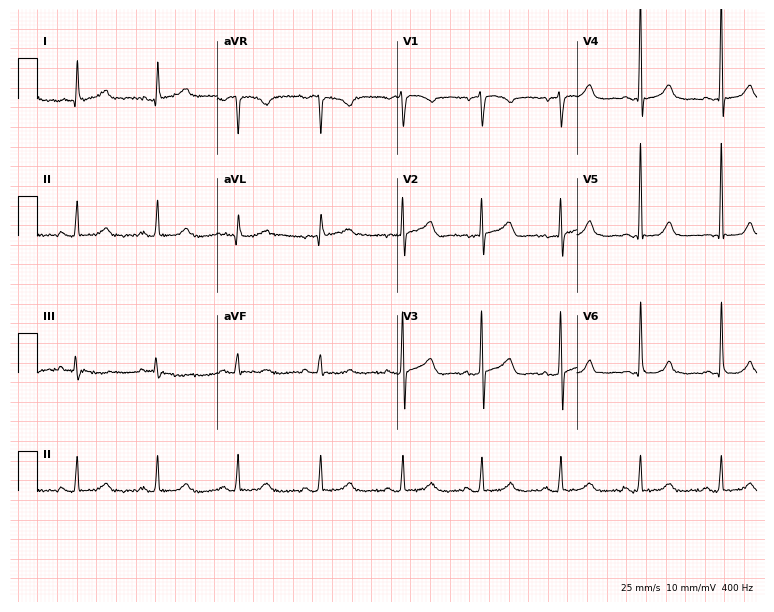
ECG (7.3-second recording at 400 Hz) — a 66-year-old female patient. Screened for six findings — first-degree AV block, right bundle branch block (RBBB), left bundle branch block (LBBB), sinus bradycardia, atrial fibrillation (AF), sinus tachycardia — none is recorded. Only these six findings were labelled.